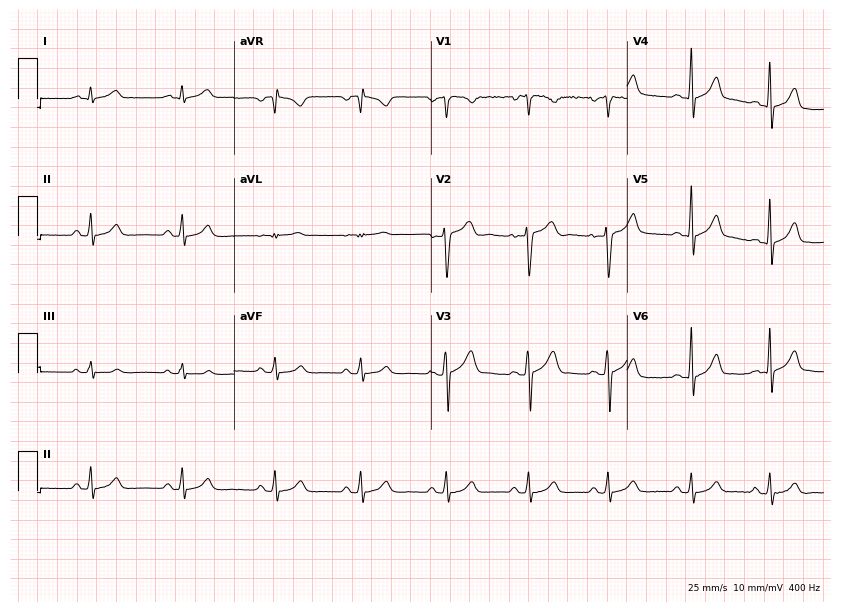
12-lead ECG from a male, 19 years old (8-second recording at 400 Hz). Recorded interpretation: within normal limits.